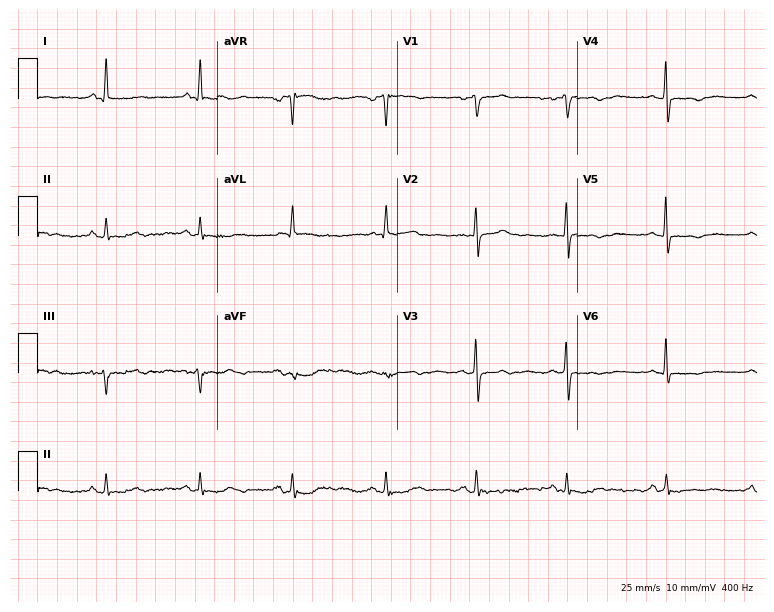
12-lead ECG from a female patient, 81 years old (7.3-second recording at 400 Hz). No first-degree AV block, right bundle branch block, left bundle branch block, sinus bradycardia, atrial fibrillation or sinus tachycardia recorded for this tracing. Findings outside these six are not listed.